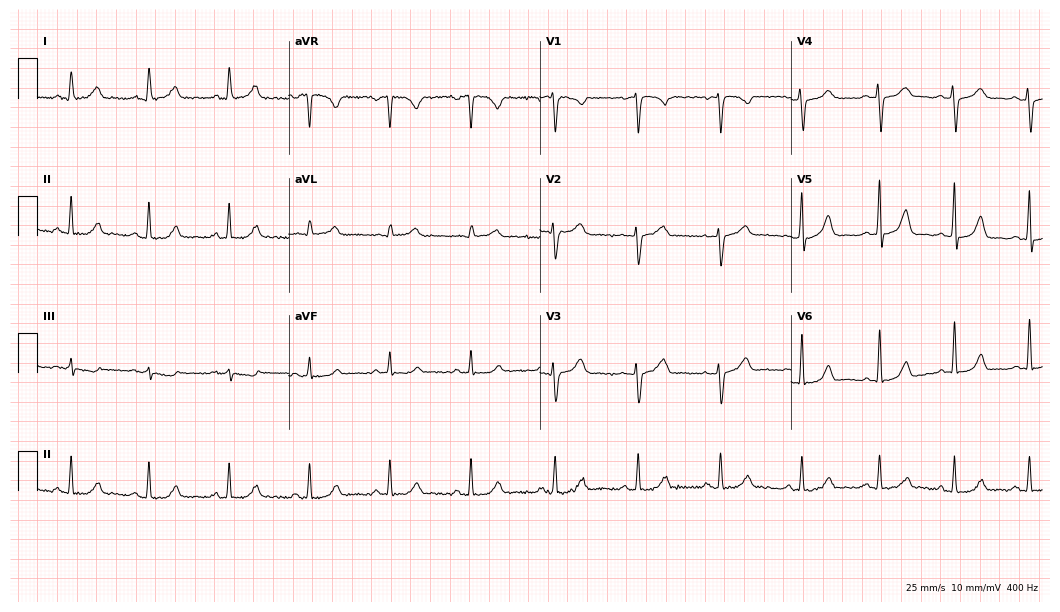
ECG — a 36-year-old female. Labelled as a normal ECG.